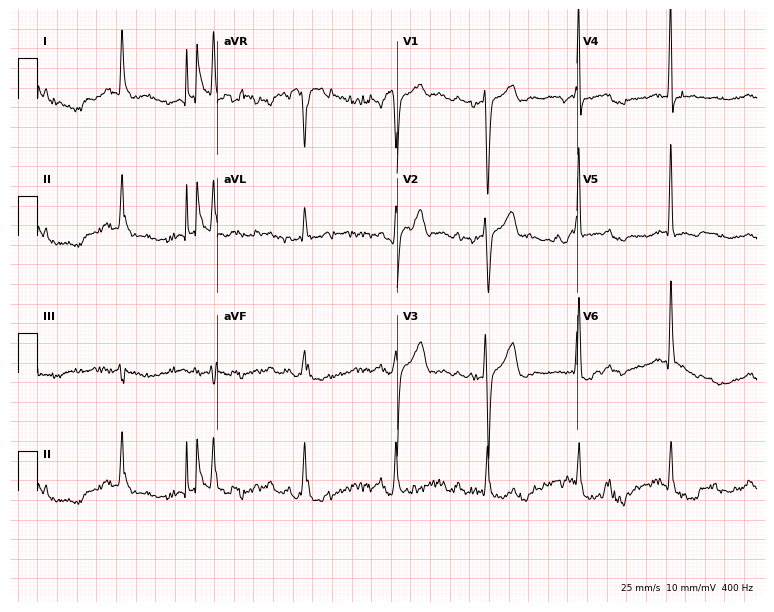
12-lead ECG (7.3-second recording at 400 Hz) from a man, 56 years old. Screened for six findings — first-degree AV block, right bundle branch block, left bundle branch block, sinus bradycardia, atrial fibrillation, sinus tachycardia — none is recorded. Findings outside these six are not listed.